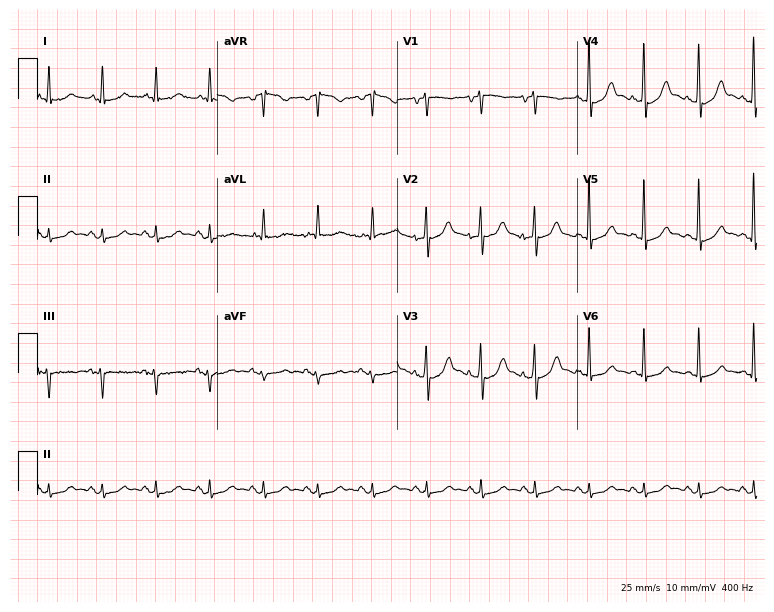
Electrocardiogram, an 80-year-old male patient. Interpretation includes sinus tachycardia (a sinus rate of 100 beats per minute or more).